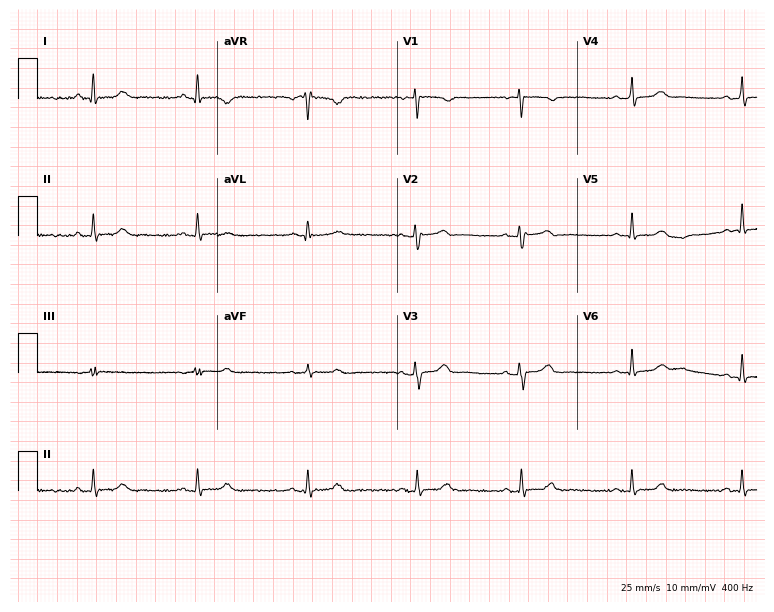
ECG — a female patient, 40 years old. Labelled as a normal ECG.